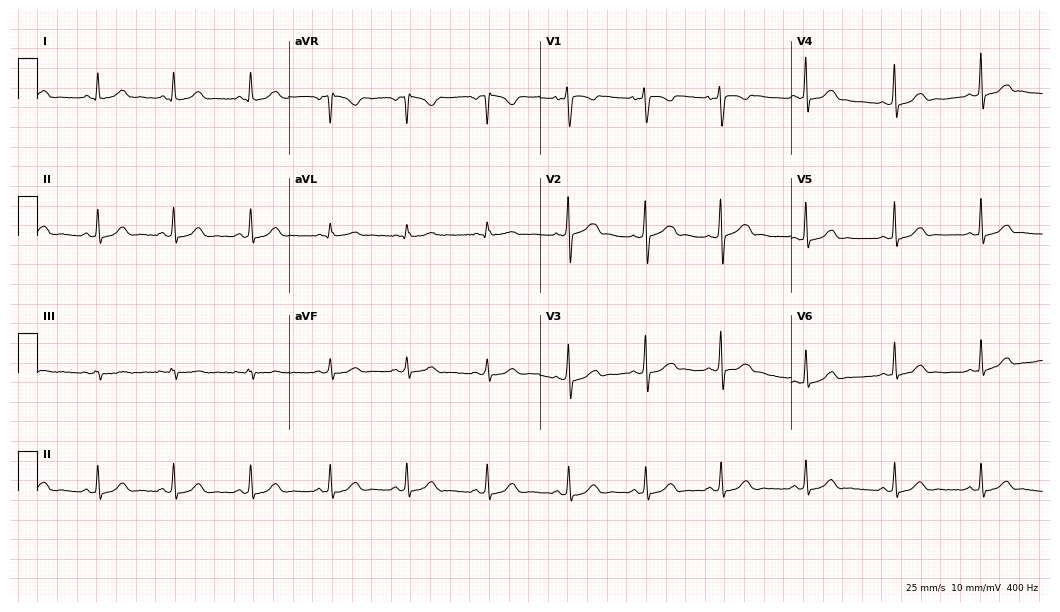
Standard 12-lead ECG recorded from a female patient, 29 years old. Read as a normal ECG.